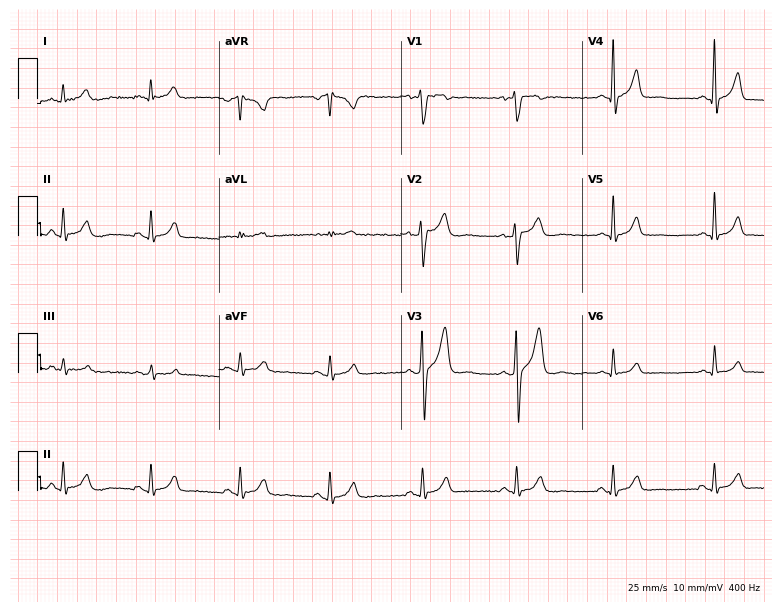
12-lead ECG (7.4-second recording at 400 Hz) from a 32-year-old male. Labelled as a normal ECG.